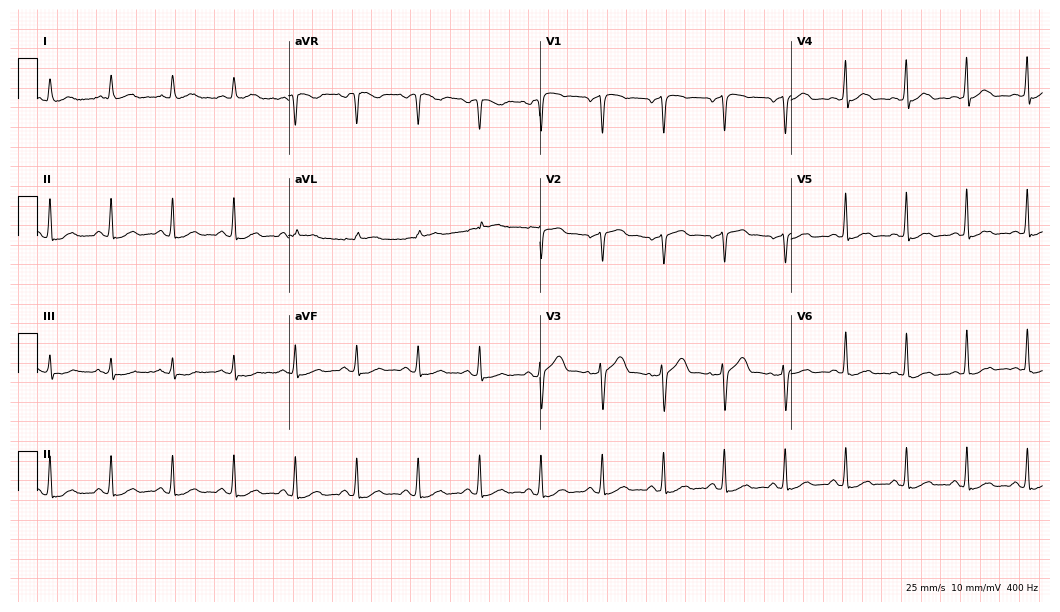
Standard 12-lead ECG recorded from a 64-year-old male. Read as a normal ECG.